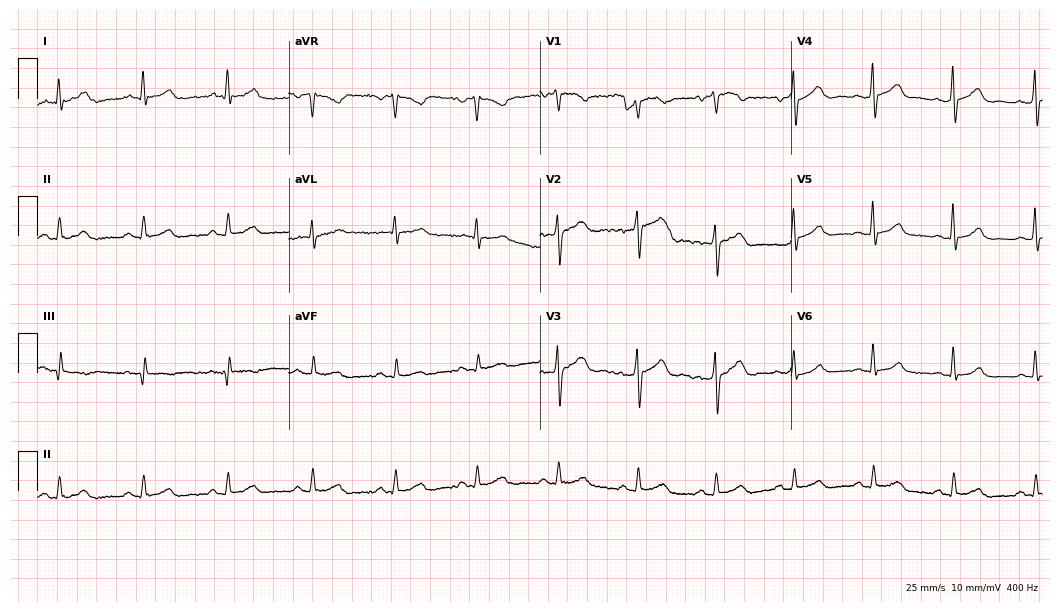
Resting 12-lead electrocardiogram. Patient: a 64-year-old female. Read as a normal ECG.